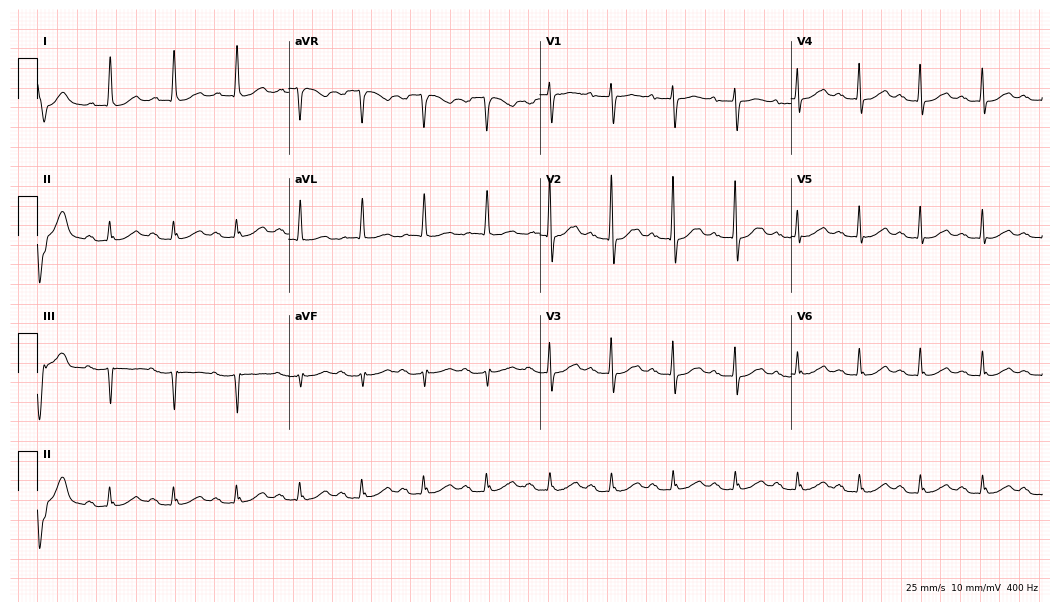
ECG — an 83-year-old female. Findings include first-degree AV block.